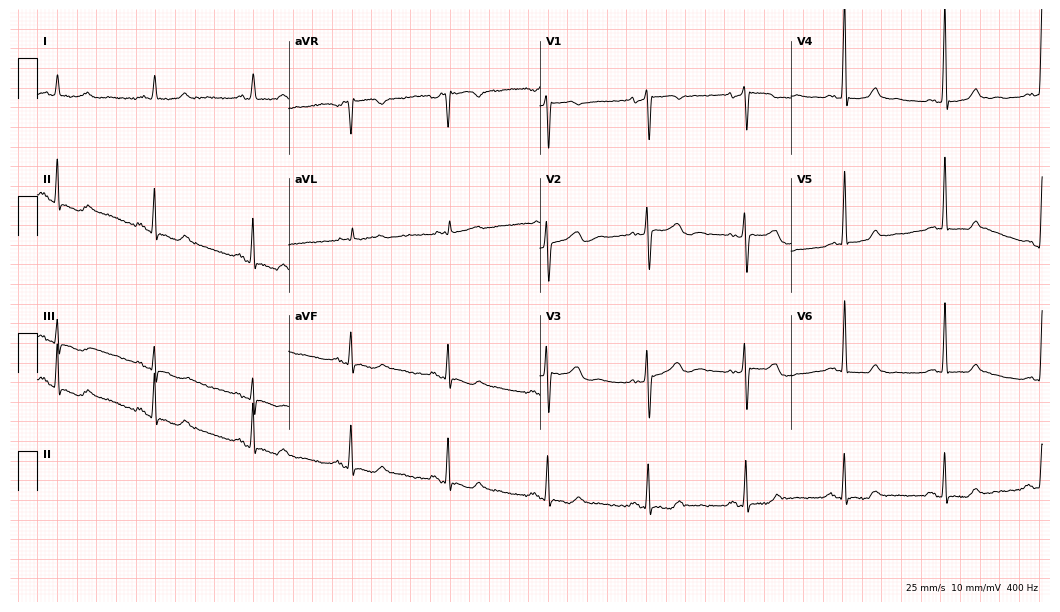
12-lead ECG from a 63-year-old female patient. No first-degree AV block, right bundle branch block, left bundle branch block, sinus bradycardia, atrial fibrillation or sinus tachycardia recorded for this tracing.